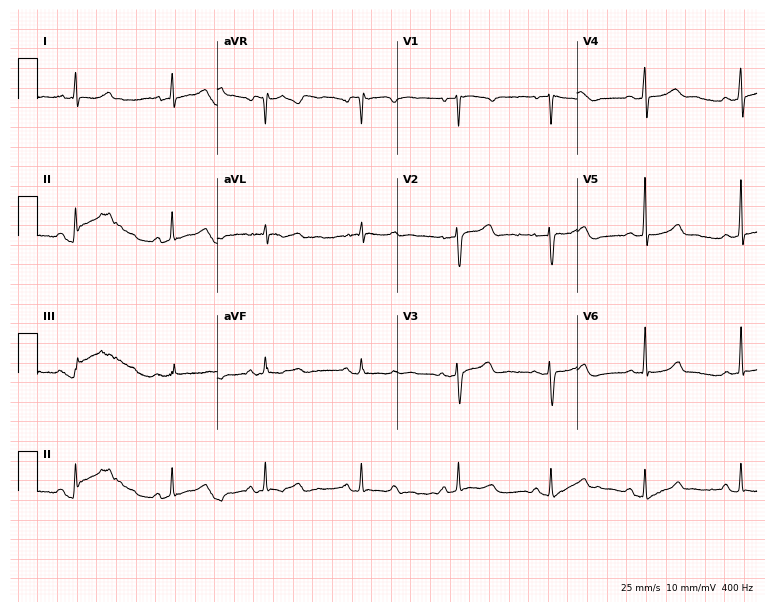
Resting 12-lead electrocardiogram (7.3-second recording at 400 Hz). Patient: a female, 43 years old. Read as a normal ECG.